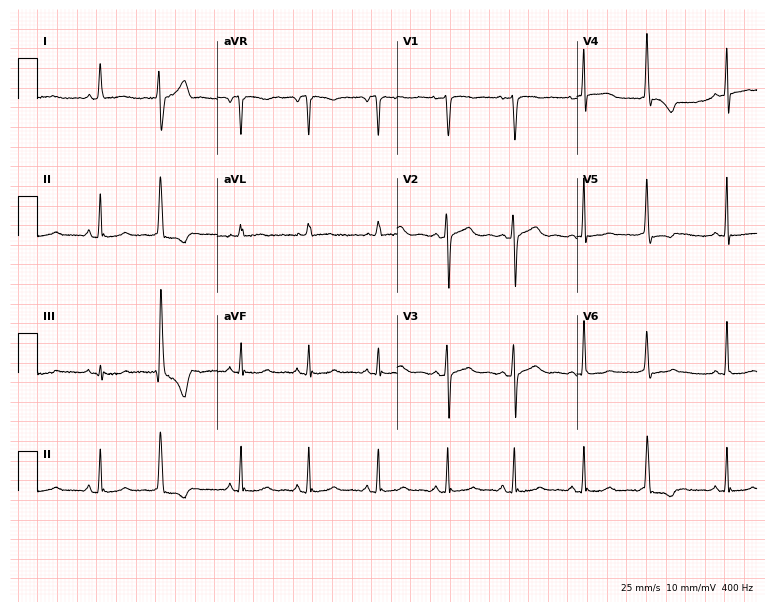
Standard 12-lead ECG recorded from a 38-year-old female patient (7.3-second recording at 400 Hz). None of these six findings is recorded: first-degree AV block, right bundle branch block (RBBB), left bundle branch block (LBBB), sinus bradycardia, atrial fibrillation (AF), sinus tachycardia. Only these six findings were labelled.